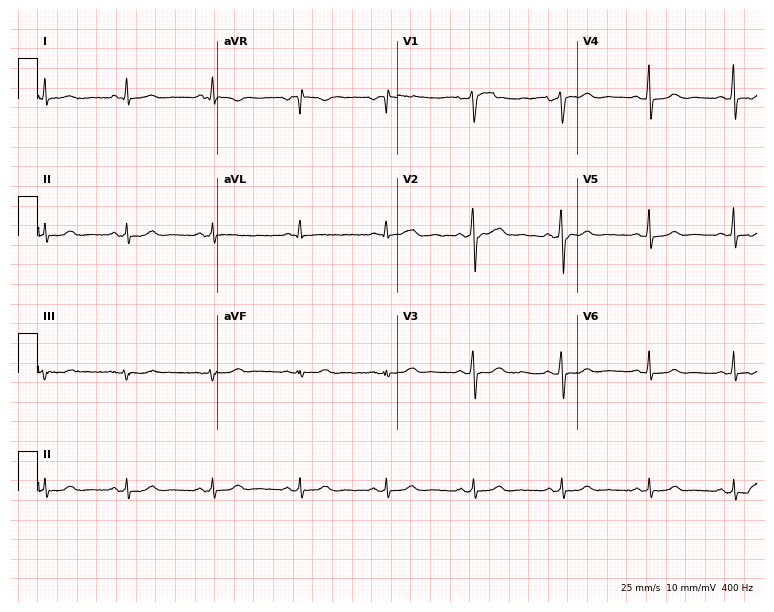
Resting 12-lead electrocardiogram (7.3-second recording at 400 Hz). Patient: a 48-year-old female. None of these six findings is recorded: first-degree AV block, right bundle branch block (RBBB), left bundle branch block (LBBB), sinus bradycardia, atrial fibrillation (AF), sinus tachycardia. Findings outside these six are not listed.